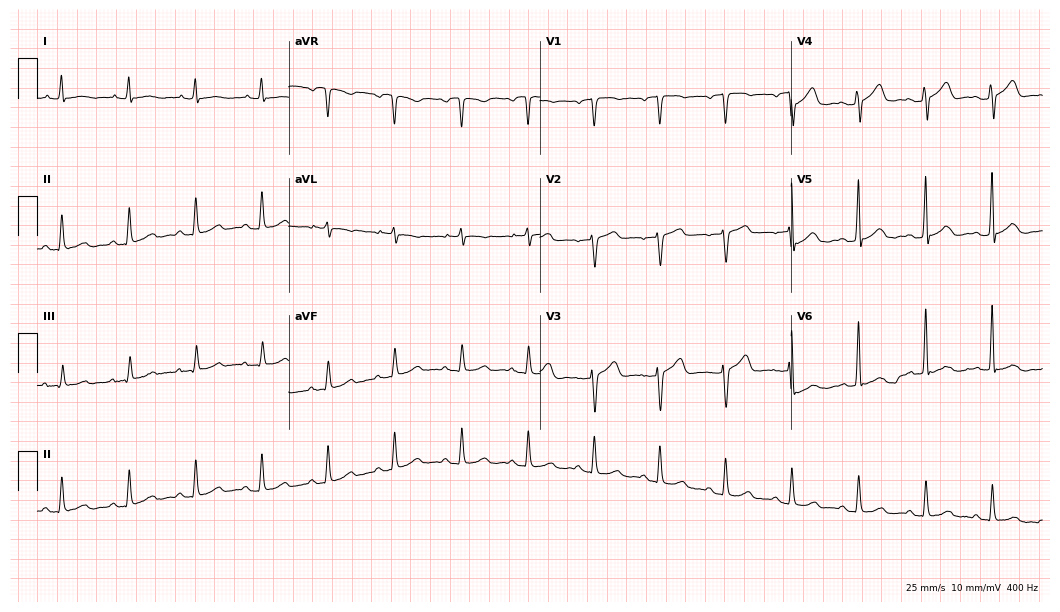
Electrocardiogram, a woman, 59 years old. Overall reading on record: normal ECG.